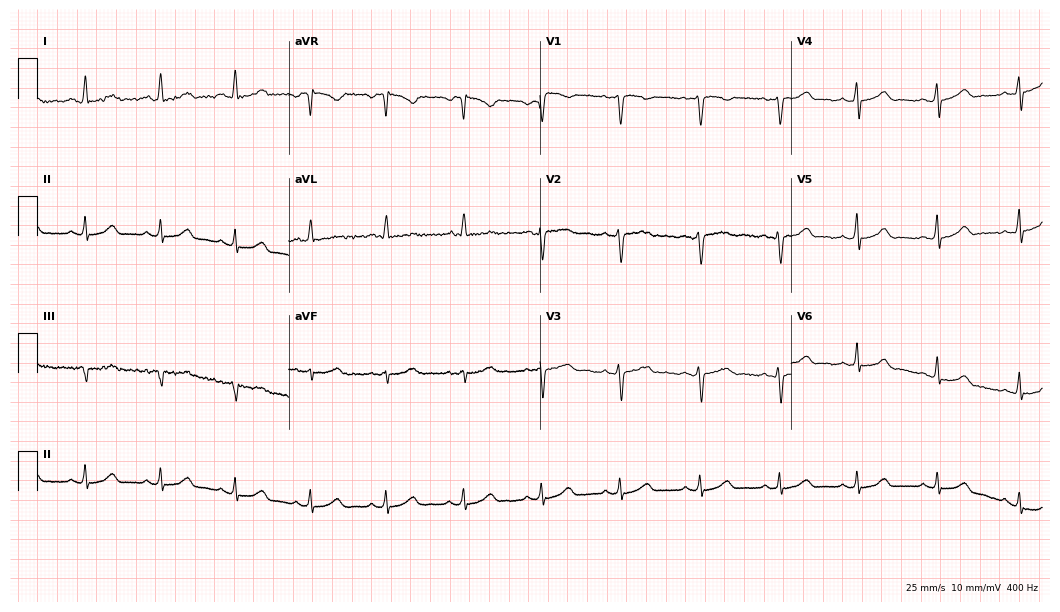
ECG — a female, 35 years old. Labelled as a normal ECG.